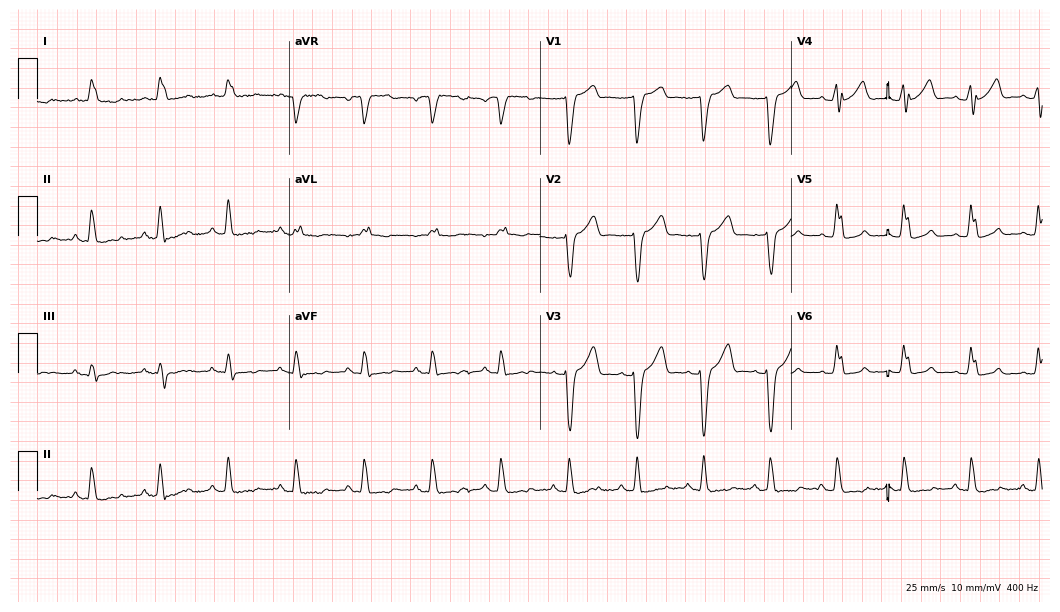
ECG (10.2-second recording at 400 Hz) — a woman, 74 years old. Findings include left bundle branch block.